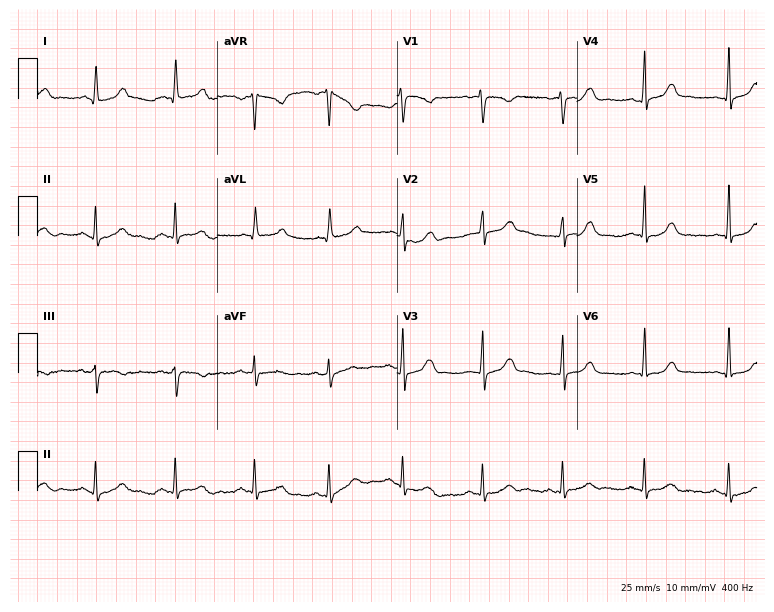
12-lead ECG from a 42-year-old woman (7.3-second recording at 400 Hz). Recorded interpretation: within normal limits.